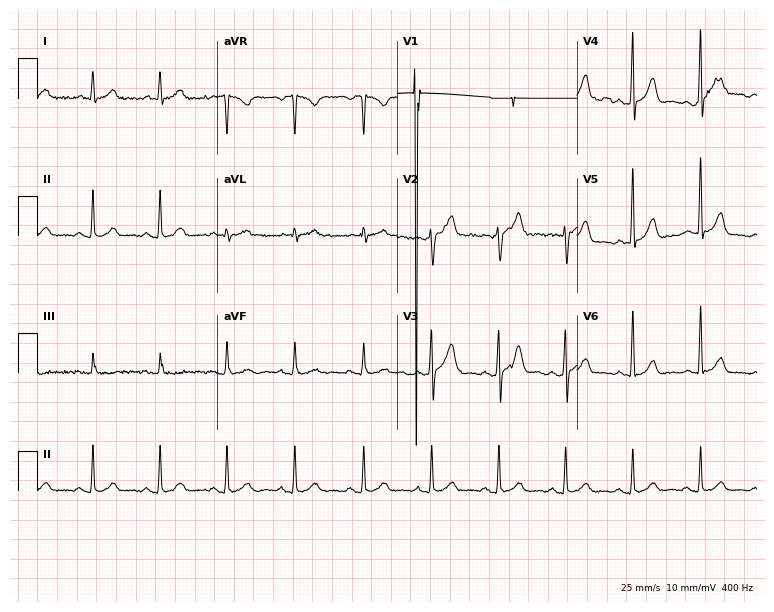
ECG (7.3-second recording at 400 Hz) — a man, 63 years old. Labelled as a normal ECG.